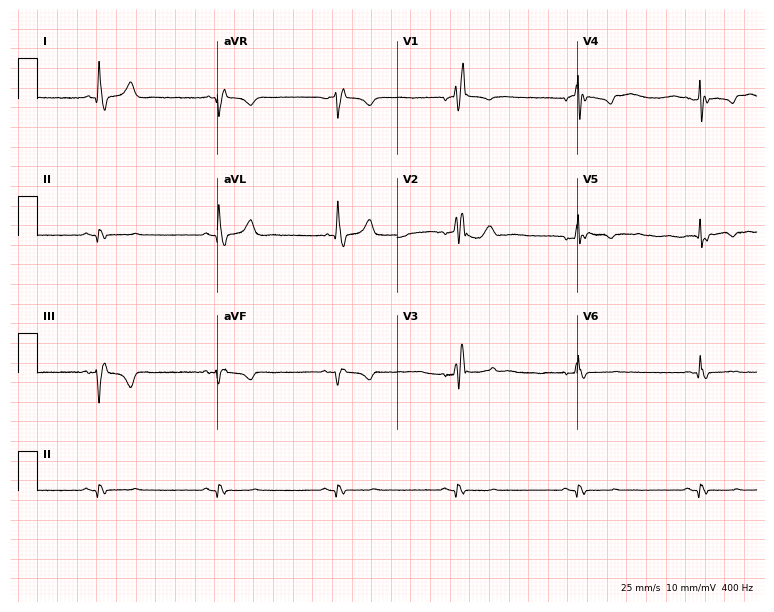
Electrocardiogram (7.3-second recording at 400 Hz), a male, 81 years old. Interpretation includes right bundle branch block (RBBB).